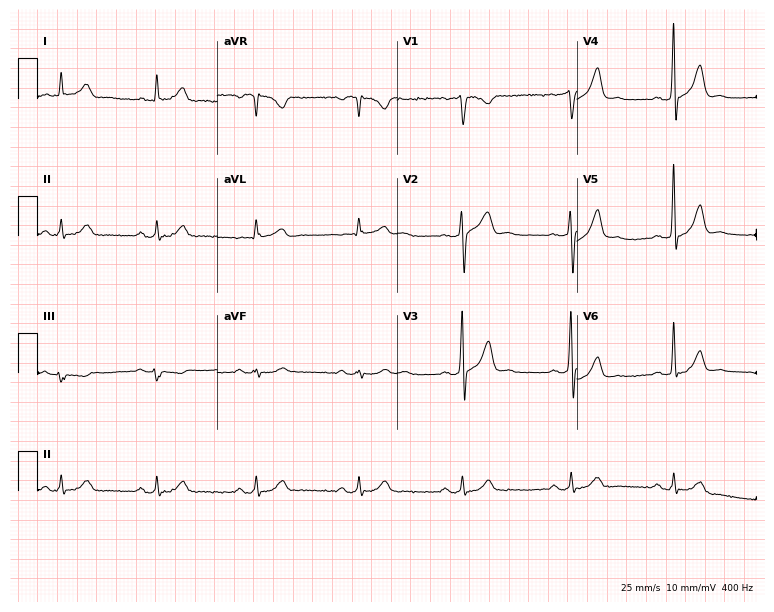
ECG (7.3-second recording at 400 Hz) — a 48-year-old male. Screened for six findings — first-degree AV block, right bundle branch block, left bundle branch block, sinus bradycardia, atrial fibrillation, sinus tachycardia — none is recorded. Findings outside these six are not listed.